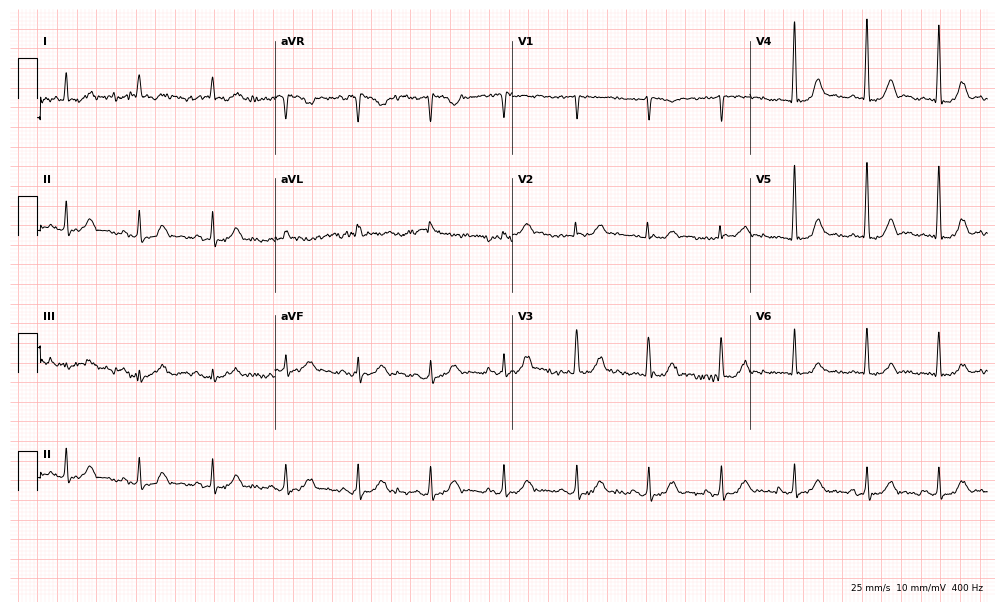
12-lead ECG from a male patient, 85 years old (9.7-second recording at 400 Hz). Recorded interpretation: within normal limits.